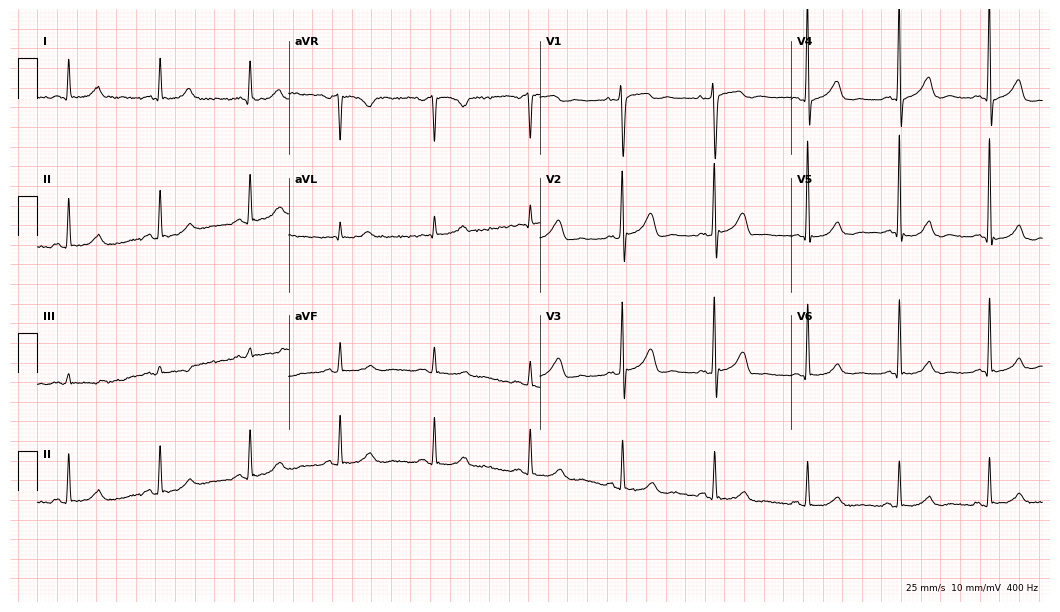
Electrocardiogram, a male, 49 years old. Overall reading on record: normal ECG.